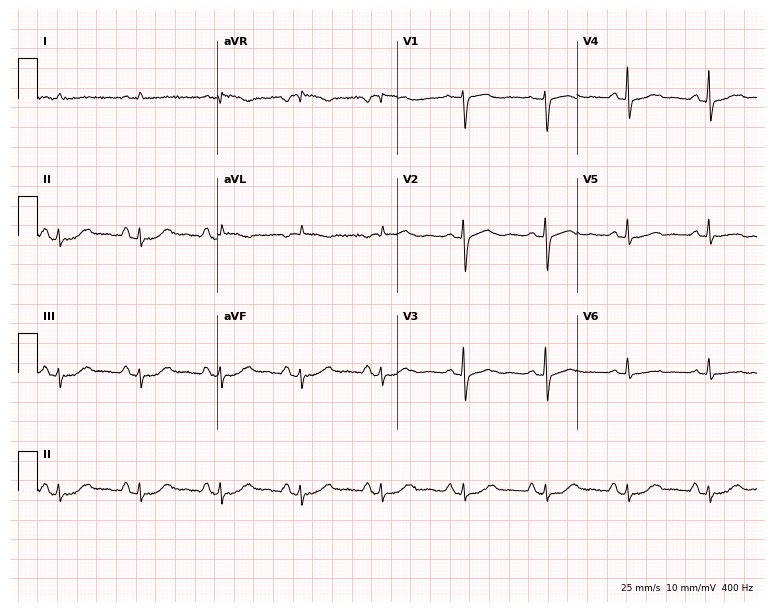
Resting 12-lead electrocardiogram. Patient: a 77-year-old female. None of these six findings is recorded: first-degree AV block, right bundle branch block, left bundle branch block, sinus bradycardia, atrial fibrillation, sinus tachycardia. Only these six findings were labelled.